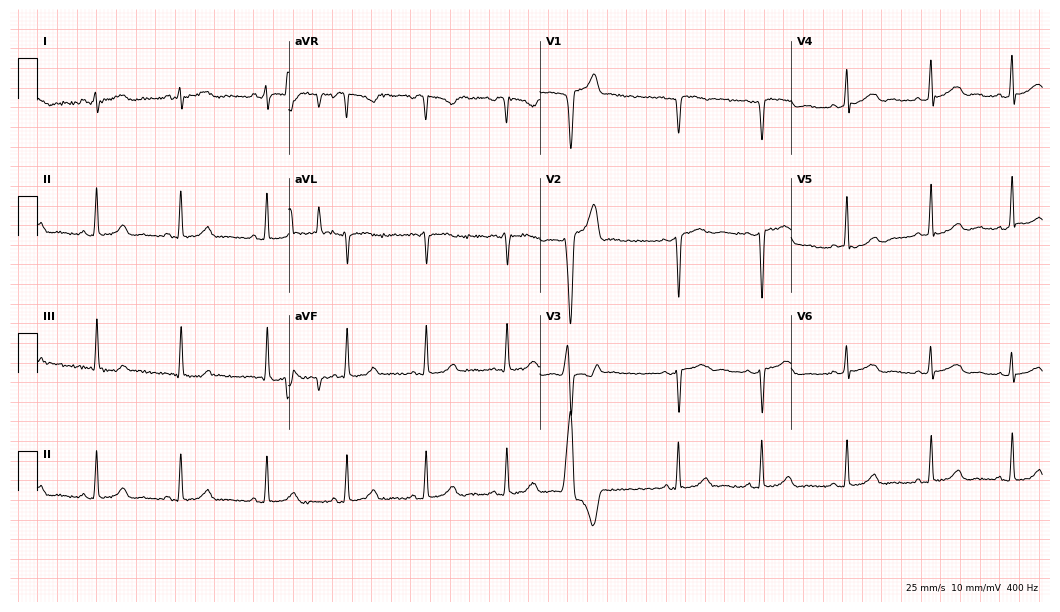
Electrocardiogram, a 28-year-old female patient. Of the six screened findings (first-degree AV block, right bundle branch block (RBBB), left bundle branch block (LBBB), sinus bradycardia, atrial fibrillation (AF), sinus tachycardia), none is recorded. Findings outside these six are not listed.